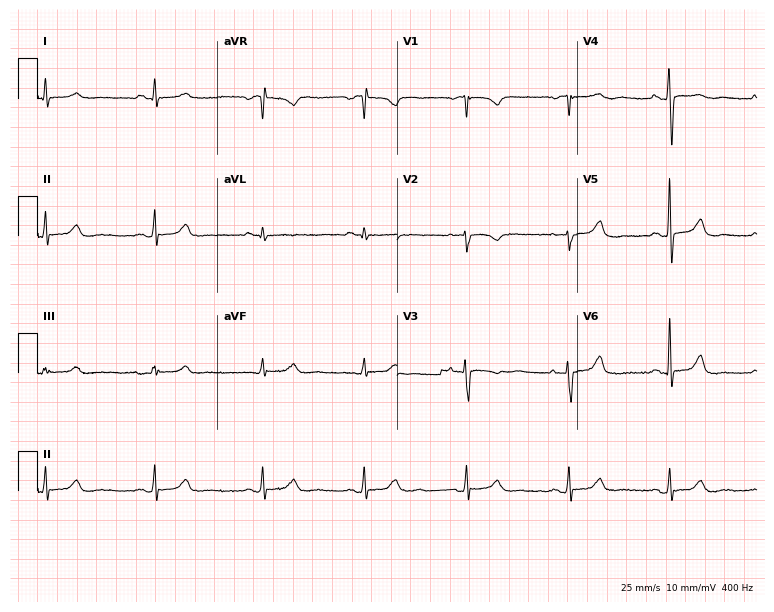
Standard 12-lead ECG recorded from a female patient, 79 years old (7.3-second recording at 400 Hz). Read as a normal ECG.